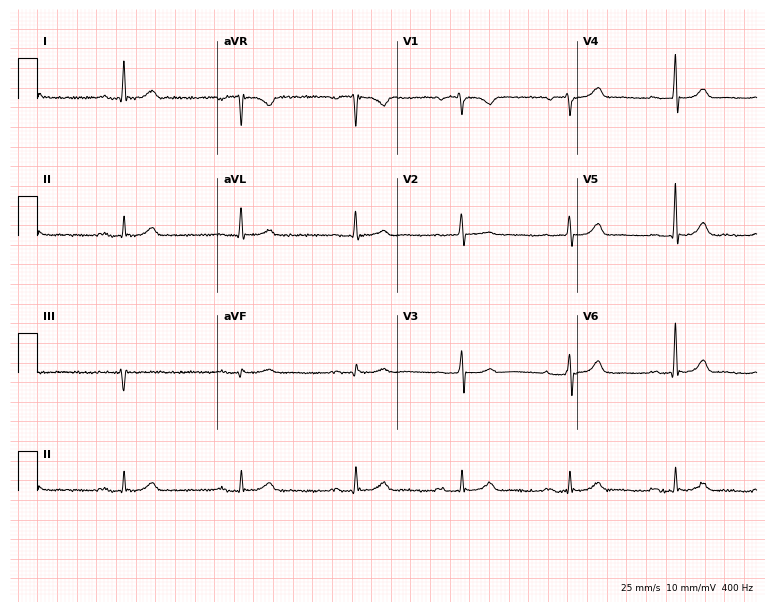
12-lead ECG (7.3-second recording at 400 Hz) from a male patient, 59 years old. Labelled as a normal ECG.